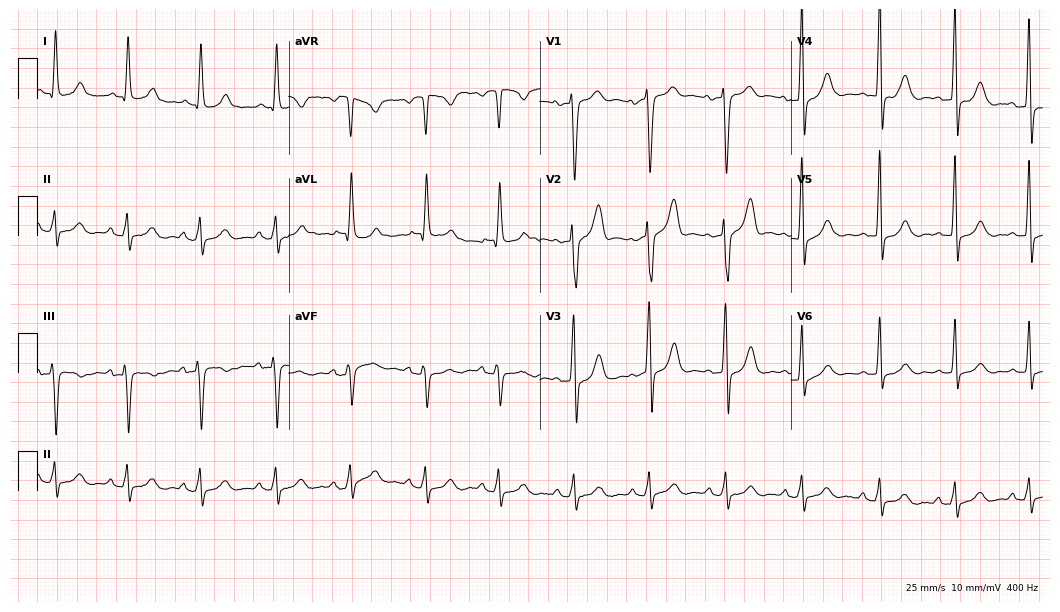
12-lead ECG from a 73-year-old female patient (10.2-second recording at 400 Hz). No first-degree AV block, right bundle branch block, left bundle branch block, sinus bradycardia, atrial fibrillation or sinus tachycardia recorded for this tracing. Only these six findings were labelled.